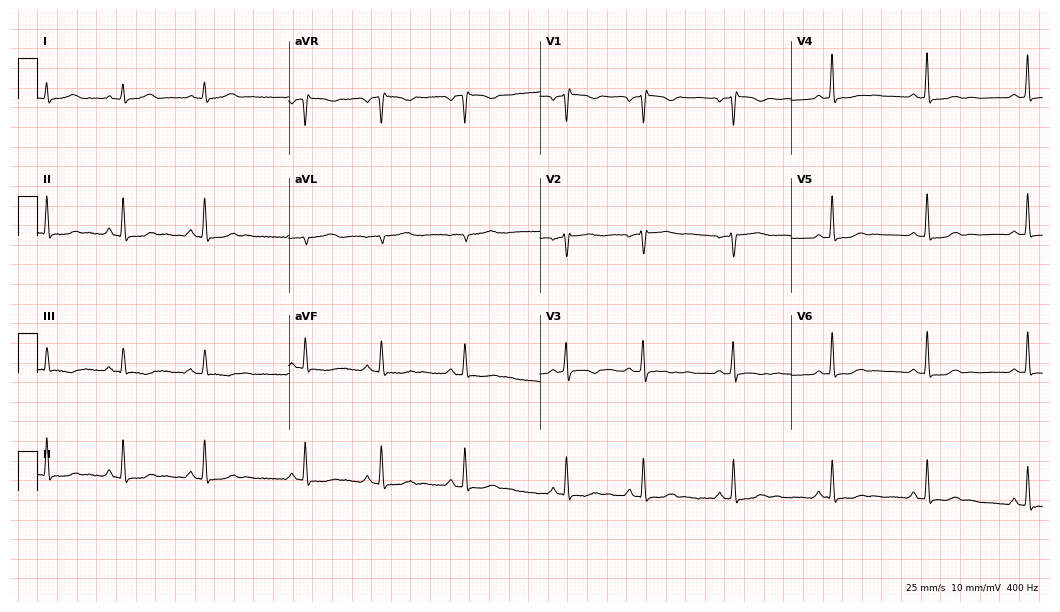
12-lead ECG from a 35-year-old woman. No first-degree AV block, right bundle branch block (RBBB), left bundle branch block (LBBB), sinus bradycardia, atrial fibrillation (AF) or sinus tachycardia recorded for this tracing.